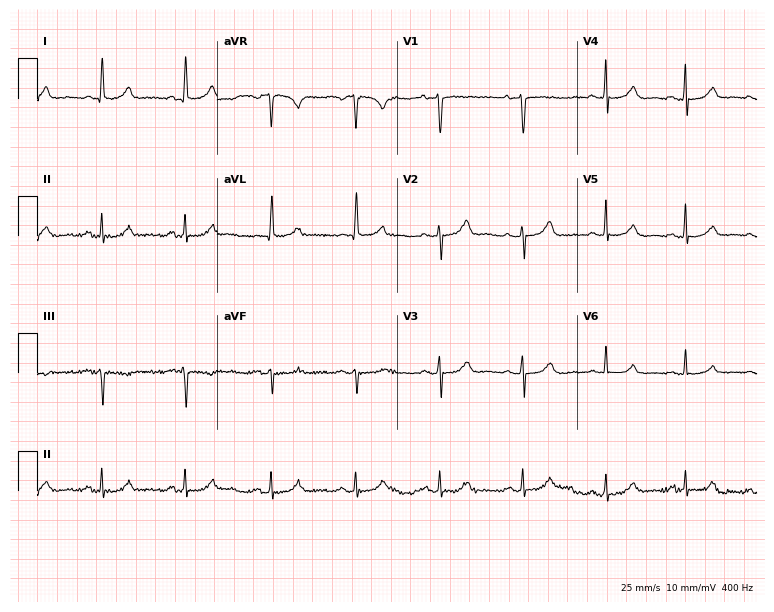
12-lead ECG (7.3-second recording at 400 Hz) from a 66-year-old female patient. Labelled as a normal ECG.